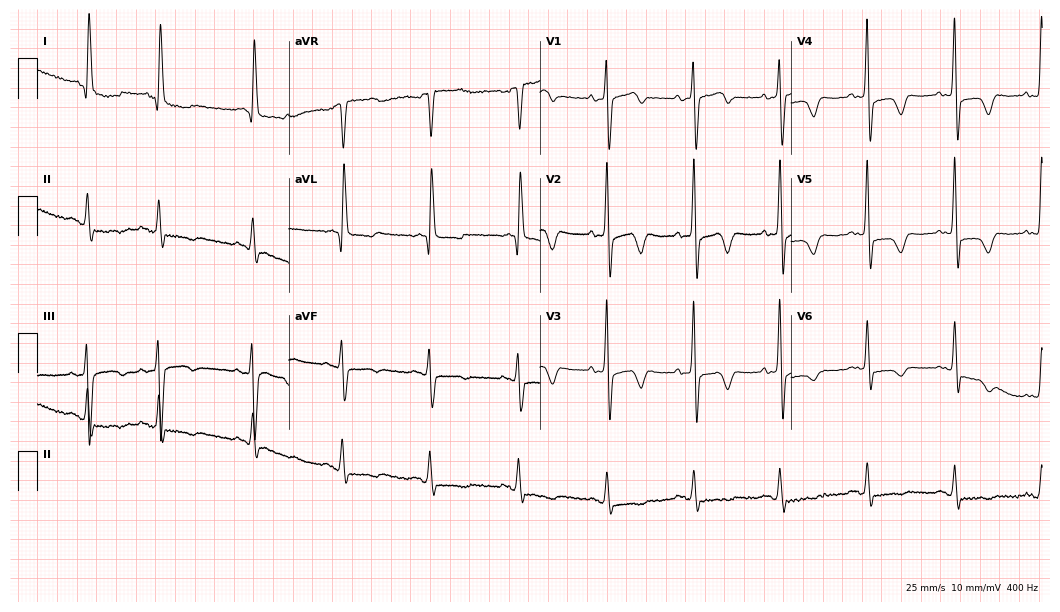
Resting 12-lead electrocardiogram. Patient: a female, 73 years old. None of these six findings is recorded: first-degree AV block, right bundle branch block (RBBB), left bundle branch block (LBBB), sinus bradycardia, atrial fibrillation (AF), sinus tachycardia. Other findings, if any, are not listed.